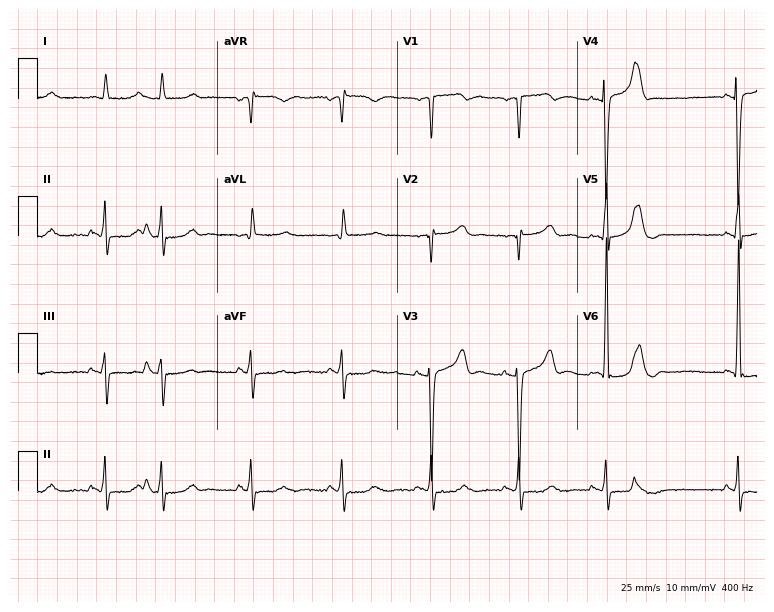
Resting 12-lead electrocardiogram (7.3-second recording at 400 Hz). Patient: an 83-year-old male. None of these six findings is recorded: first-degree AV block, right bundle branch block (RBBB), left bundle branch block (LBBB), sinus bradycardia, atrial fibrillation (AF), sinus tachycardia. Findings outside these six are not listed.